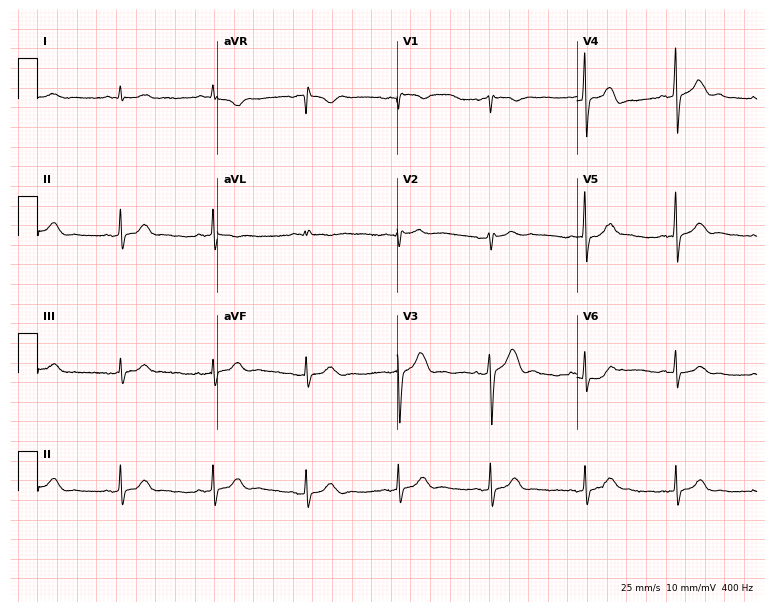
Resting 12-lead electrocardiogram (7.3-second recording at 400 Hz). Patient: a male, 72 years old. None of these six findings is recorded: first-degree AV block, right bundle branch block, left bundle branch block, sinus bradycardia, atrial fibrillation, sinus tachycardia. Only these six findings were labelled.